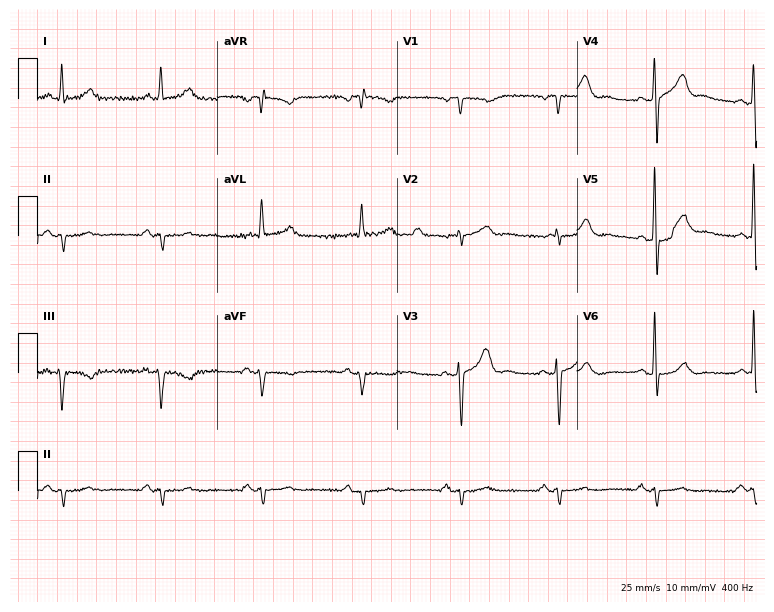
Resting 12-lead electrocardiogram (7.3-second recording at 400 Hz). Patient: a man, 70 years old. None of these six findings is recorded: first-degree AV block, right bundle branch block, left bundle branch block, sinus bradycardia, atrial fibrillation, sinus tachycardia.